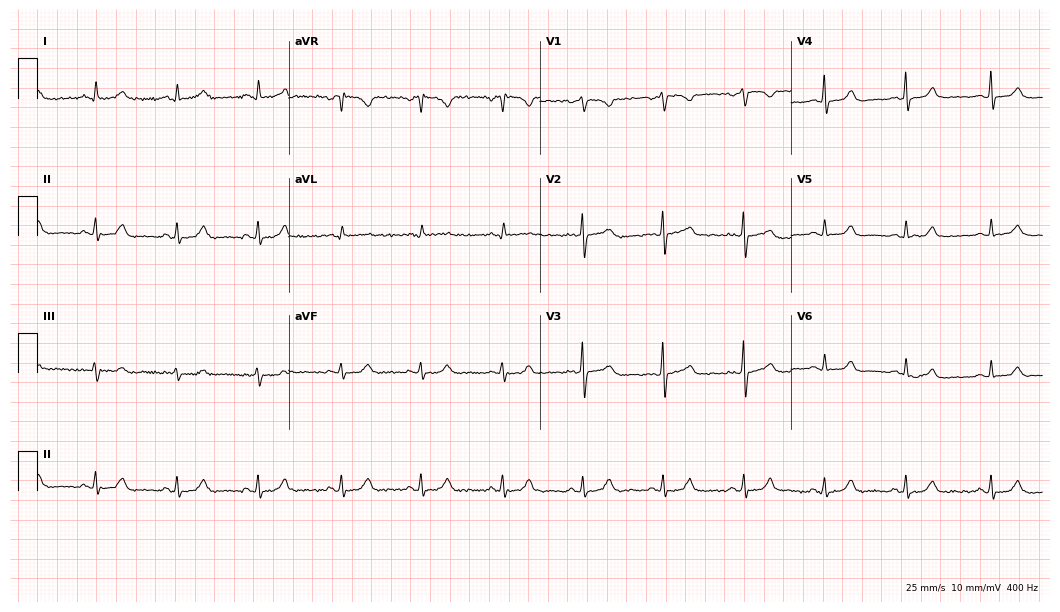
Electrocardiogram (10.2-second recording at 400 Hz), a 41-year-old woman. Overall reading on record: normal ECG.